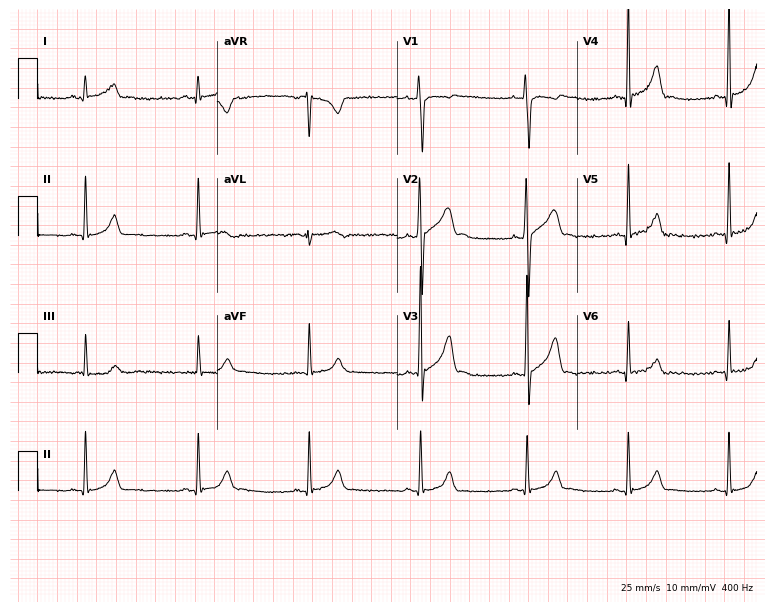
12-lead ECG from a 20-year-old man (7.3-second recording at 400 Hz). No first-degree AV block, right bundle branch block, left bundle branch block, sinus bradycardia, atrial fibrillation or sinus tachycardia recorded for this tracing. Only these six findings were labelled.